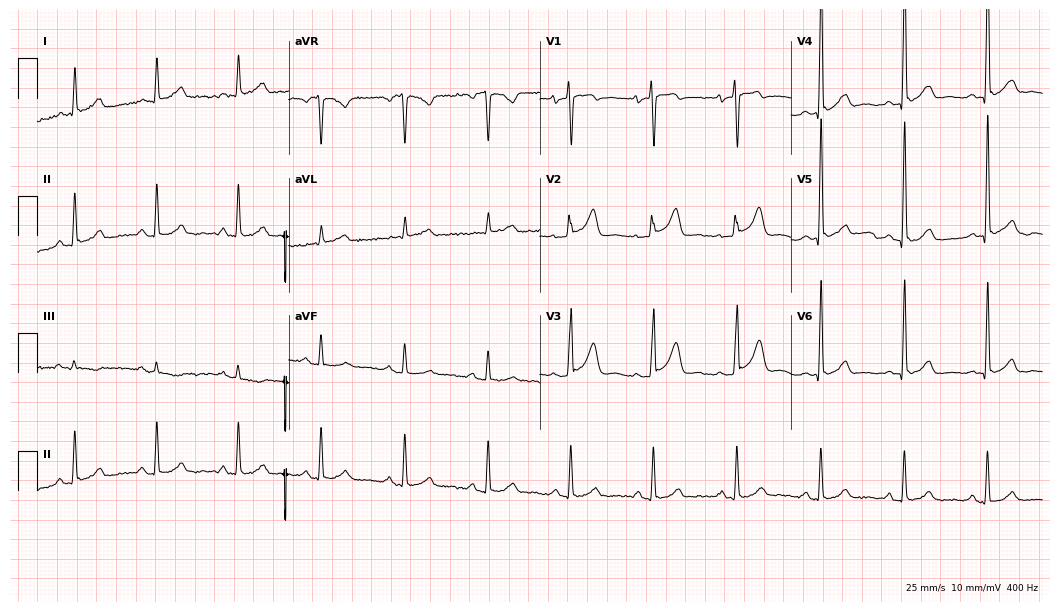
Resting 12-lead electrocardiogram (10.2-second recording at 400 Hz). Patient: a man, 45 years old. None of these six findings is recorded: first-degree AV block, right bundle branch block (RBBB), left bundle branch block (LBBB), sinus bradycardia, atrial fibrillation (AF), sinus tachycardia.